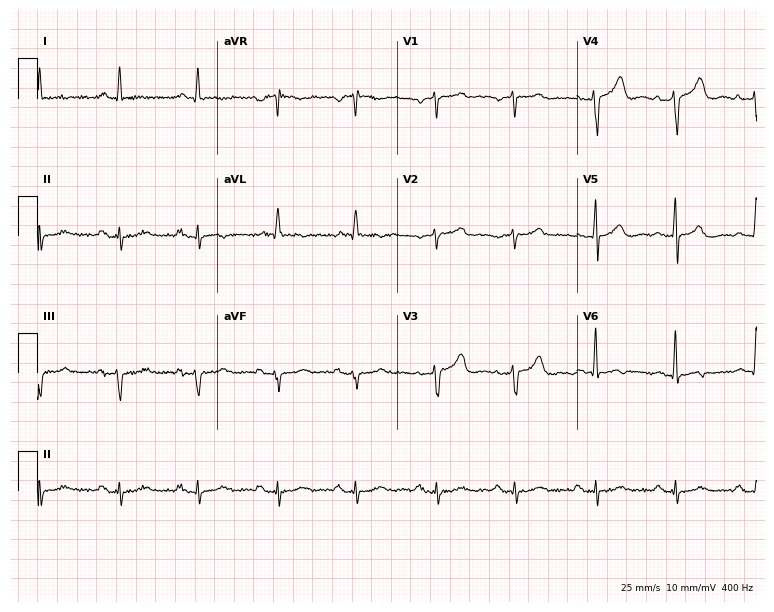
Resting 12-lead electrocardiogram. Patient: an 82-year-old man. None of these six findings is recorded: first-degree AV block, right bundle branch block, left bundle branch block, sinus bradycardia, atrial fibrillation, sinus tachycardia.